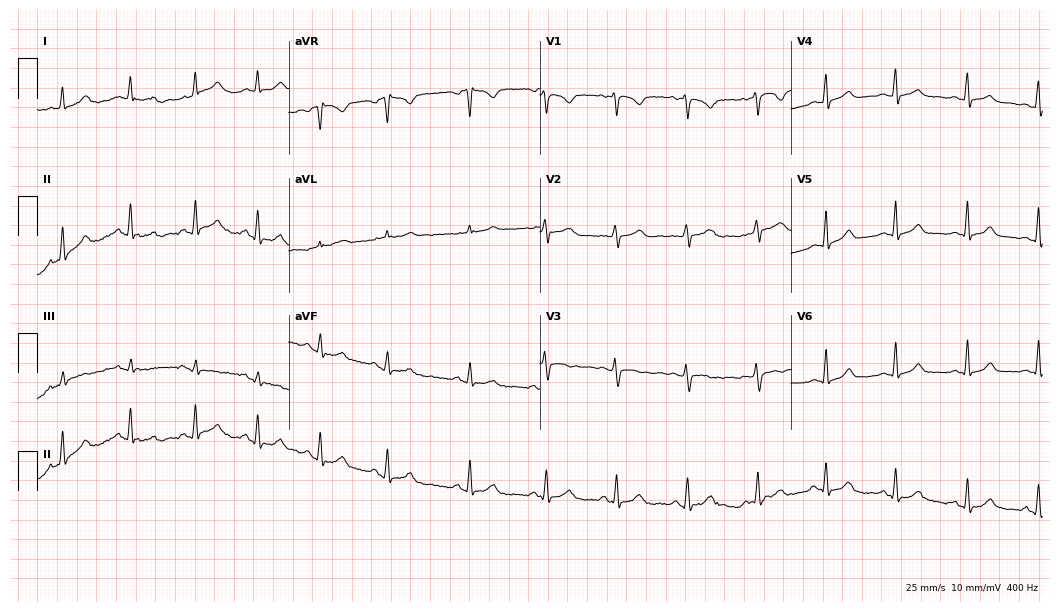
12-lead ECG (10.2-second recording at 400 Hz) from a 27-year-old woman. Screened for six findings — first-degree AV block, right bundle branch block (RBBB), left bundle branch block (LBBB), sinus bradycardia, atrial fibrillation (AF), sinus tachycardia — none is recorded. Findings outside these six are not listed.